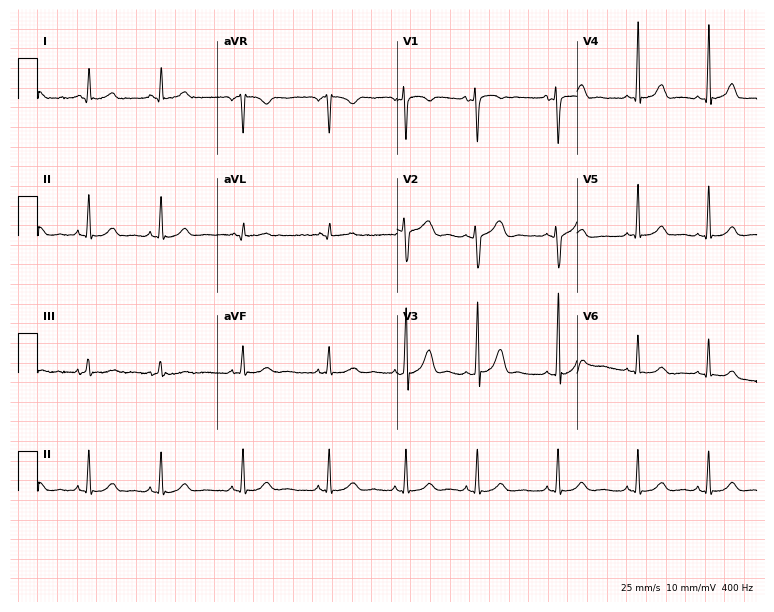
Standard 12-lead ECG recorded from a woman, 17 years old (7.3-second recording at 400 Hz). Read as a normal ECG.